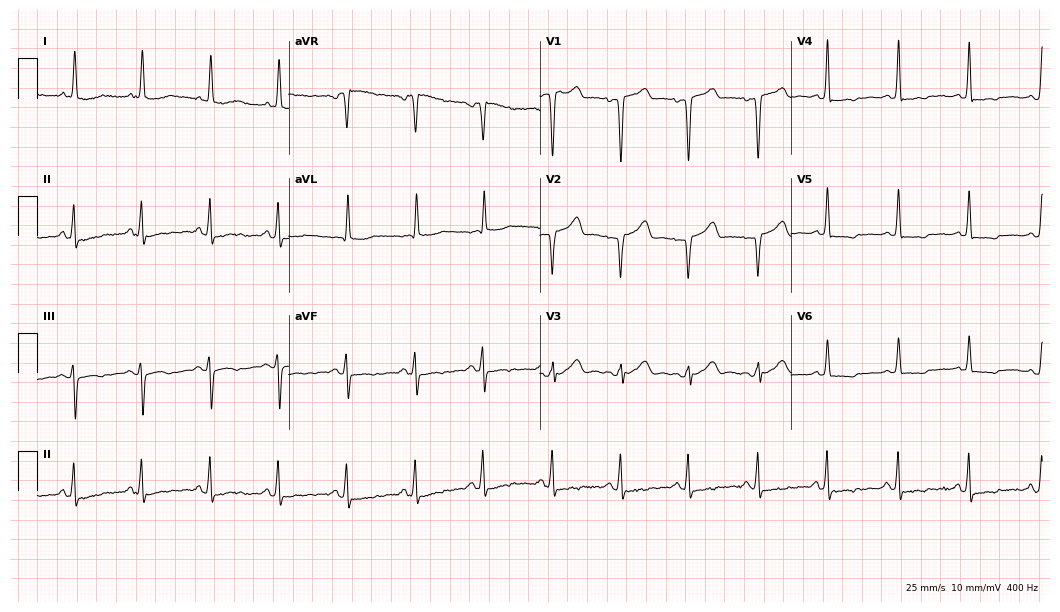
12-lead ECG (10.2-second recording at 400 Hz) from a female, 59 years old. Screened for six findings — first-degree AV block, right bundle branch block, left bundle branch block, sinus bradycardia, atrial fibrillation, sinus tachycardia — none is recorded.